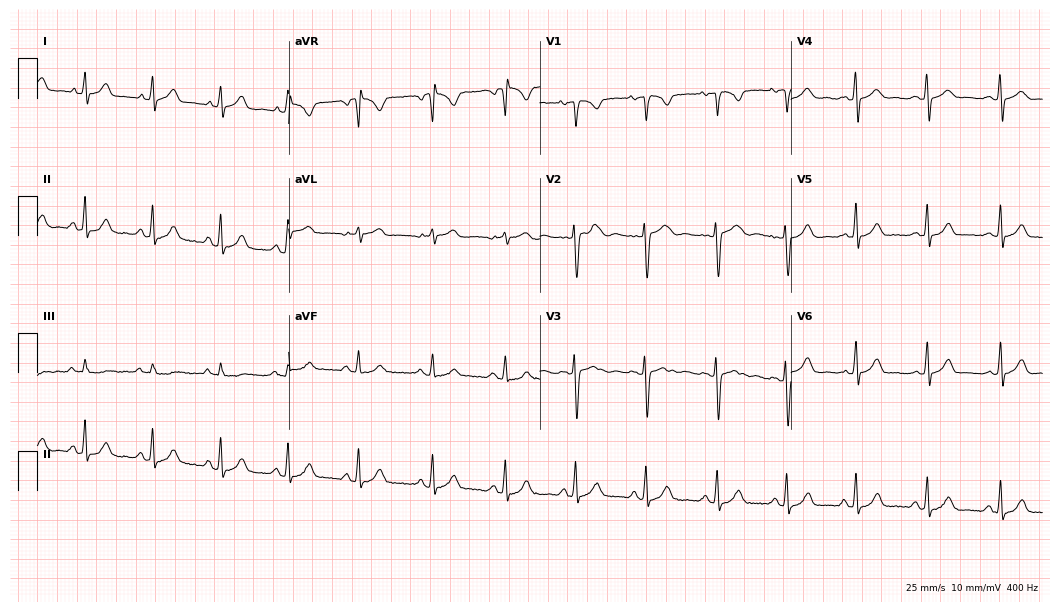
ECG — a female, 20 years old. Labelled as a normal ECG.